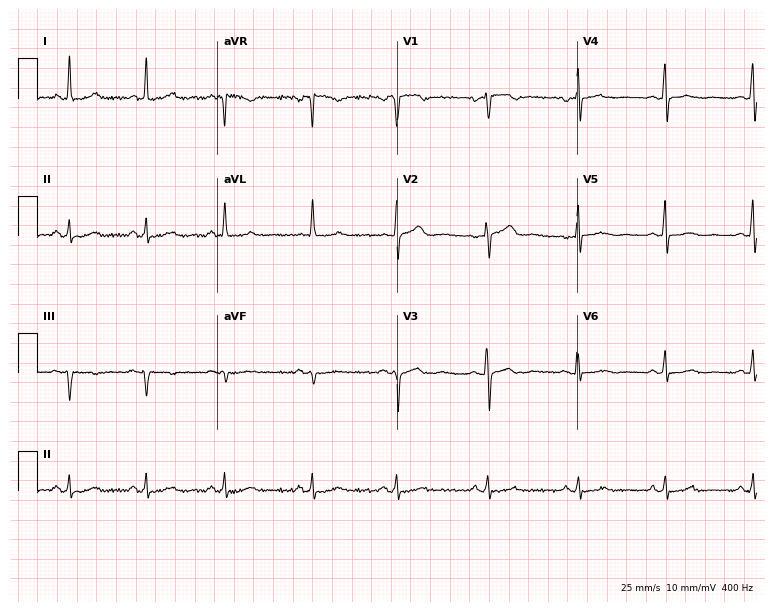
ECG — a female, 61 years old. Screened for six findings — first-degree AV block, right bundle branch block (RBBB), left bundle branch block (LBBB), sinus bradycardia, atrial fibrillation (AF), sinus tachycardia — none is recorded.